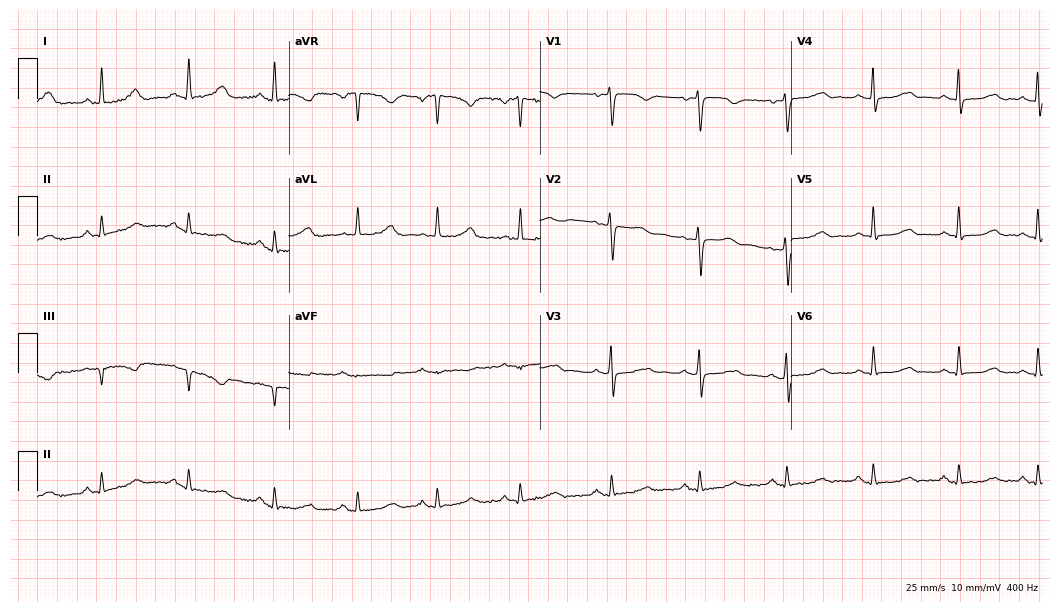
Standard 12-lead ECG recorded from a 57-year-old female (10.2-second recording at 400 Hz). Read as a normal ECG.